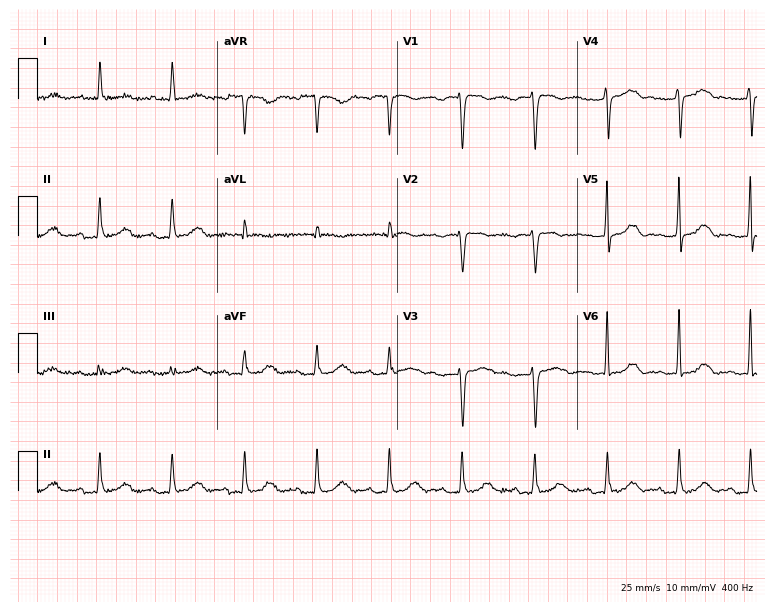
12-lead ECG from a female, 64 years old. Findings include first-degree AV block.